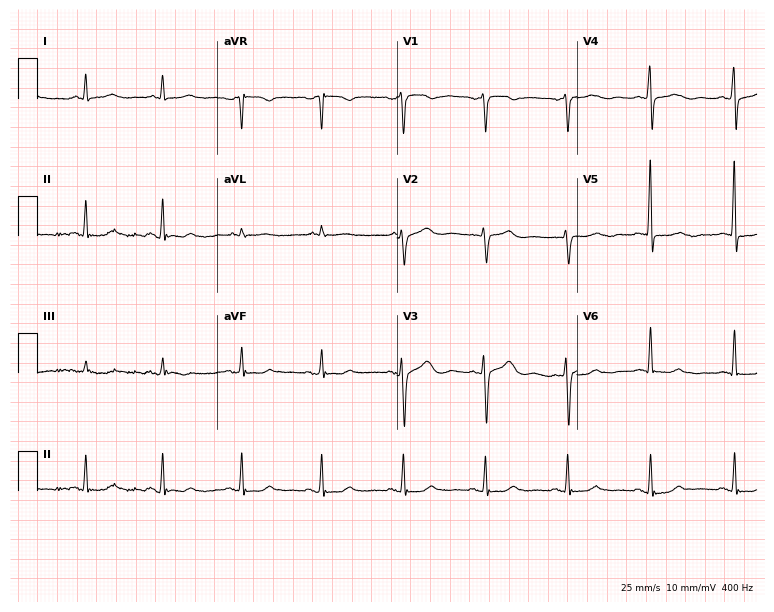
Electrocardiogram, a female patient, 79 years old. Overall reading on record: normal ECG.